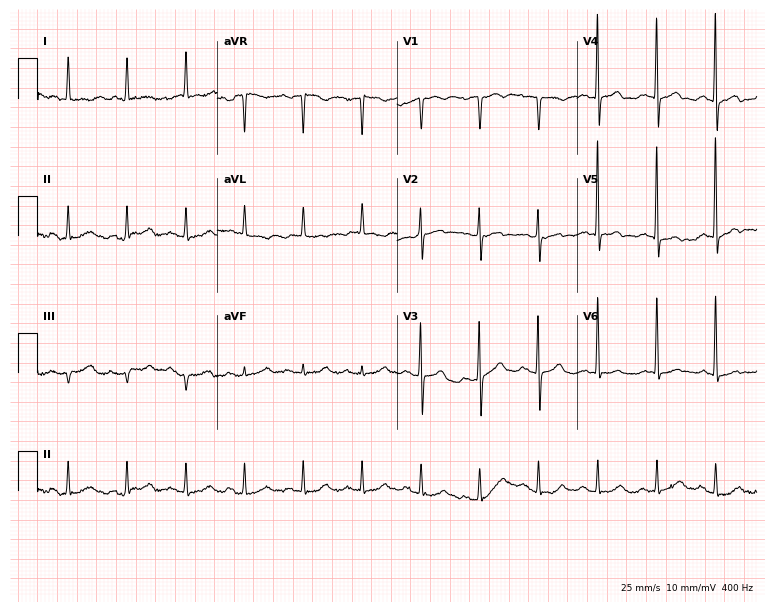
Electrocardiogram (7.3-second recording at 400 Hz), a woman, 77 years old. Interpretation includes sinus tachycardia (a sinus rate of 100 beats per minute or more).